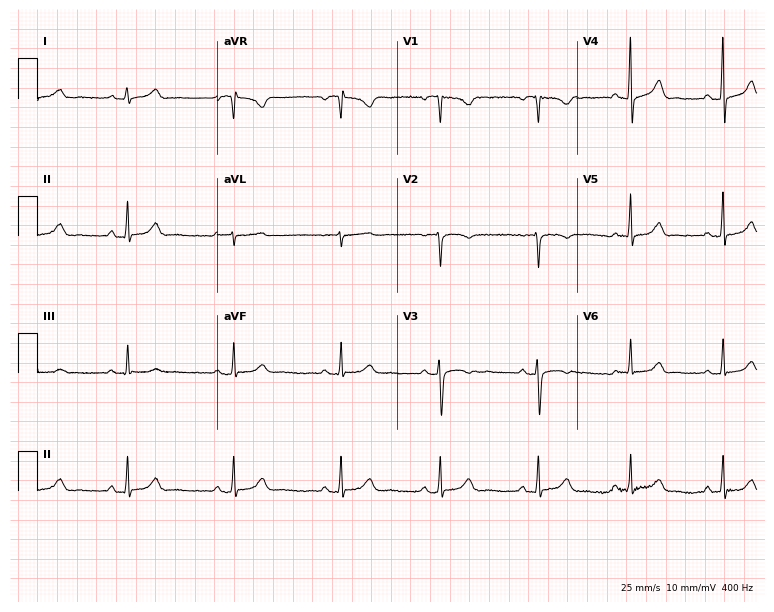
12-lead ECG from a woman, 33 years old. Screened for six findings — first-degree AV block, right bundle branch block, left bundle branch block, sinus bradycardia, atrial fibrillation, sinus tachycardia — none is recorded. Other findings, if any, are not listed.